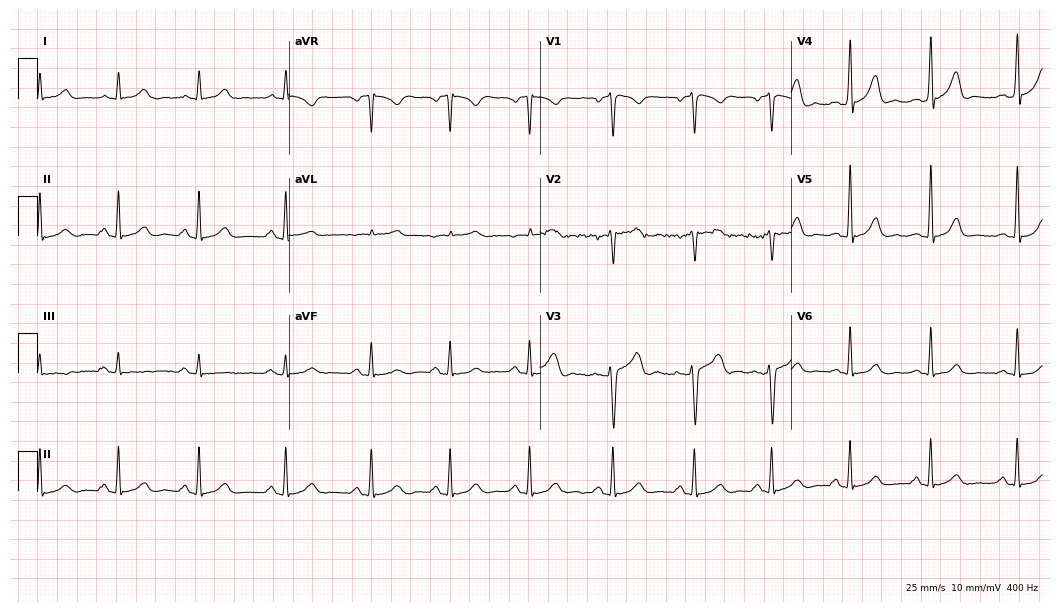
12-lead ECG from a male, 30 years old (10.2-second recording at 400 Hz). Recorded interpretation: within normal limits.